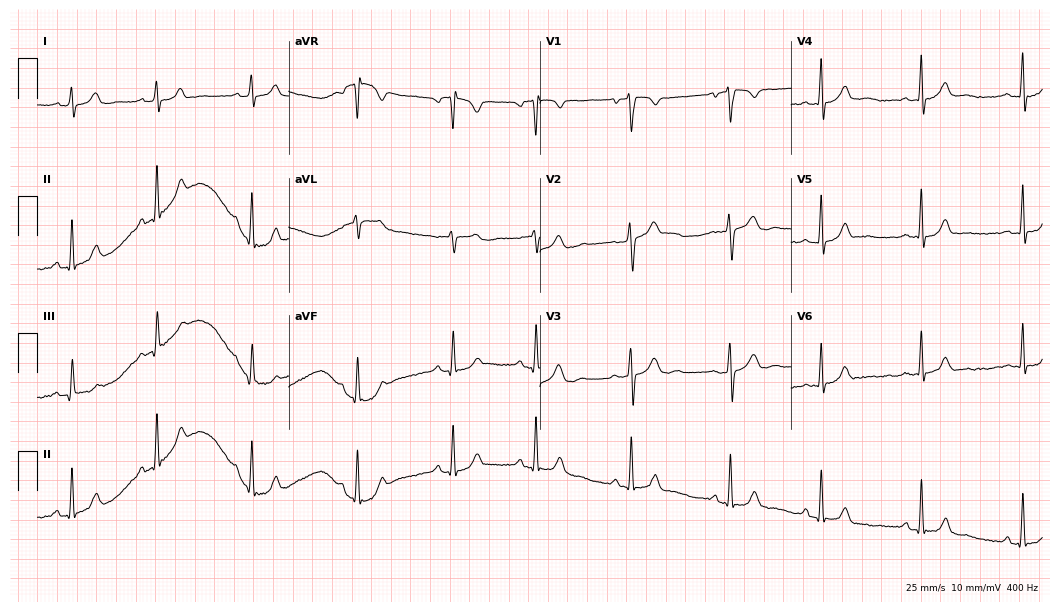
Standard 12-lead ECG recorded from an 18-year-old woman. None of these six findings is recorded: first-degree AV block, right bundle branch block, left bundle branch block, sinus bradycardia, atrial fibrillation, sinus tachycardia.